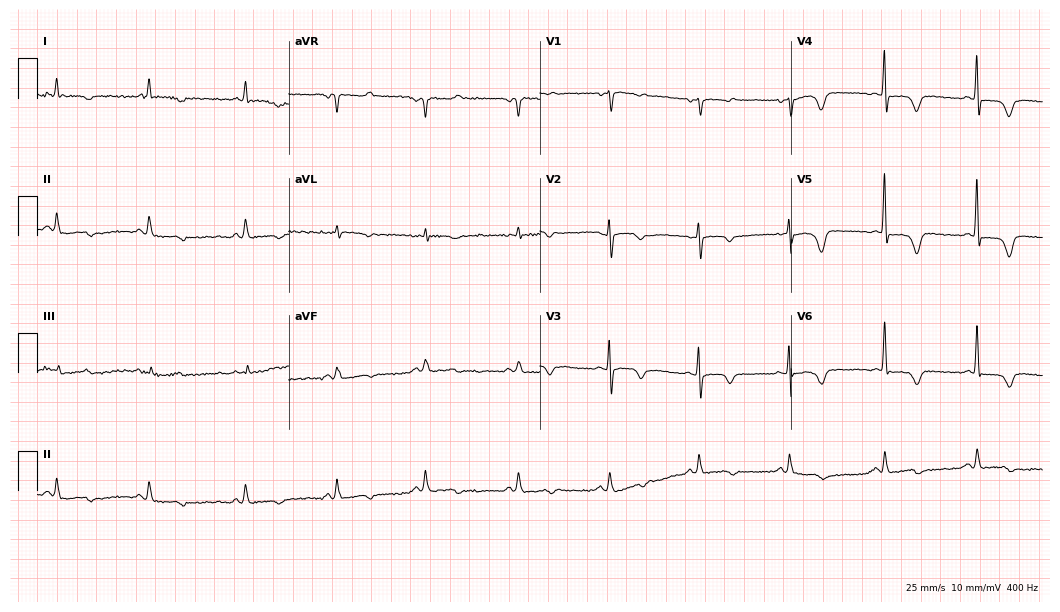
12-lead ECG from an 82-year-old female patient. Screened for six findings — first-degree AV block, right bundle branch block (RBBB), left bundle branch block (LBBB), sinus bradycardia, atrial fibrillation (AF), sinus tachycardia — none is recorded.